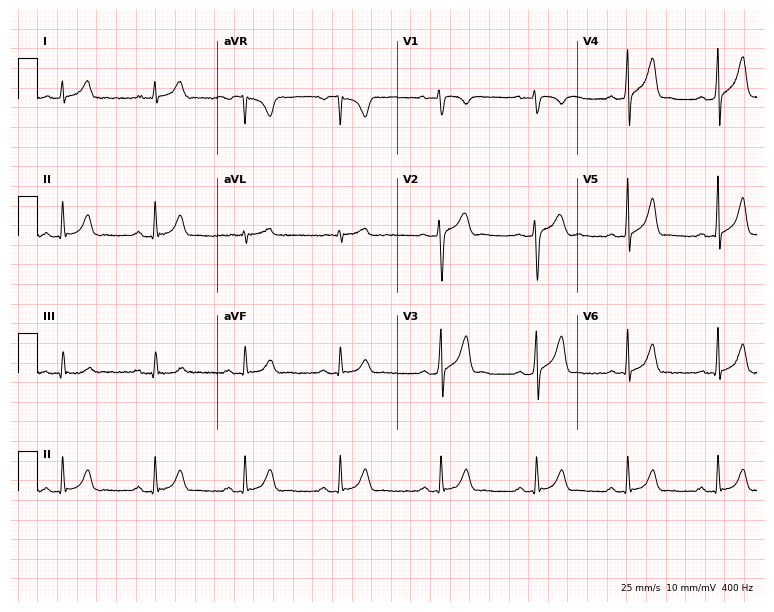
Electrocardiogram, a 23-year-old male patient. Overall reading on record: normal ECG.